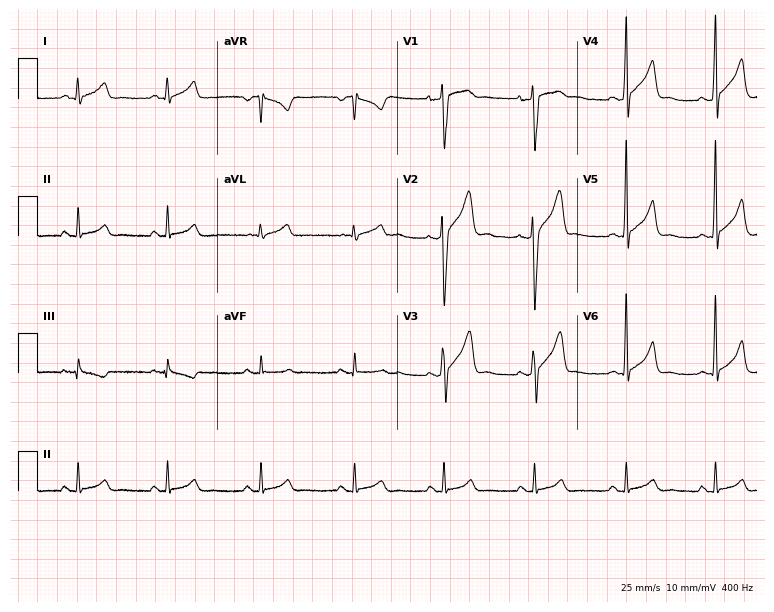
ECG — a man, 39 years old. Screened for six findings — first-degree AV block, right bundle branch block (RBBB), left bundle branch block (LBBB), sinus bradycardia, atrial fibrillation (AF), sinus tachycardia — none is recorded. Only these six findings were labelled.